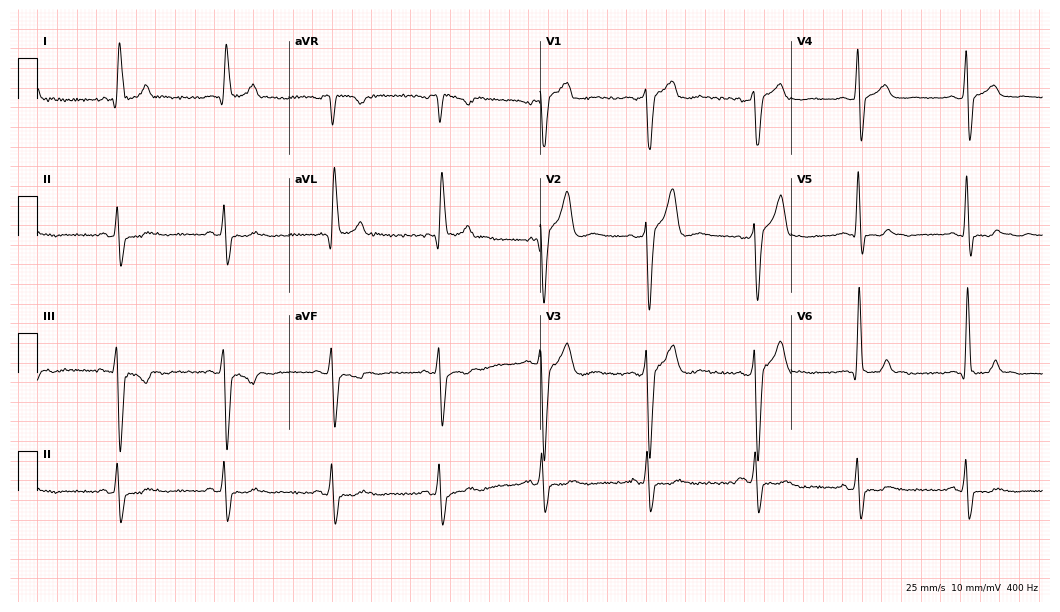
12-lead ECG from a male, 51 years old (10.2-second recording at 400 Hz). No first-degree AV block, right bundle branch block, left bundle branch block, sinus bradycardia, atrial fibrillation or sinus tachycardia recorded for this tracing. Only these six findings were labelled.